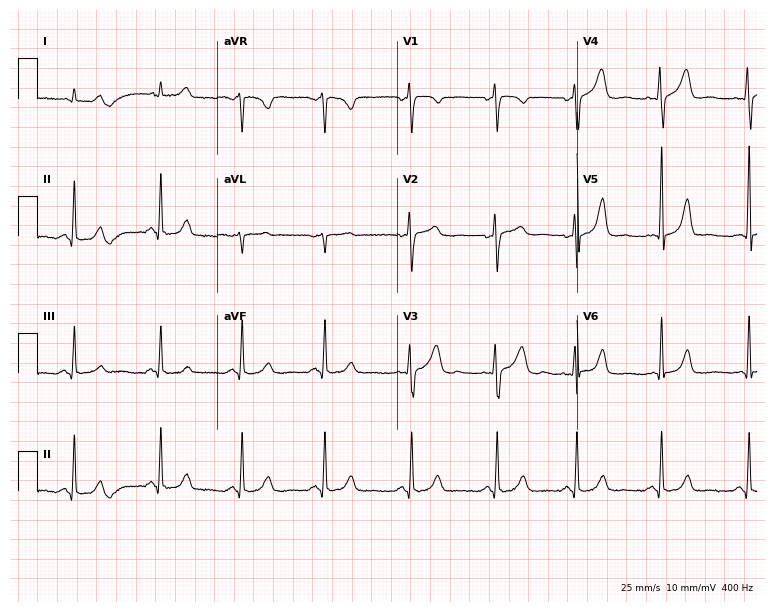
Standard 12-lead ECG recorded from a 30-year-old female patient. Read as a normal ECG.